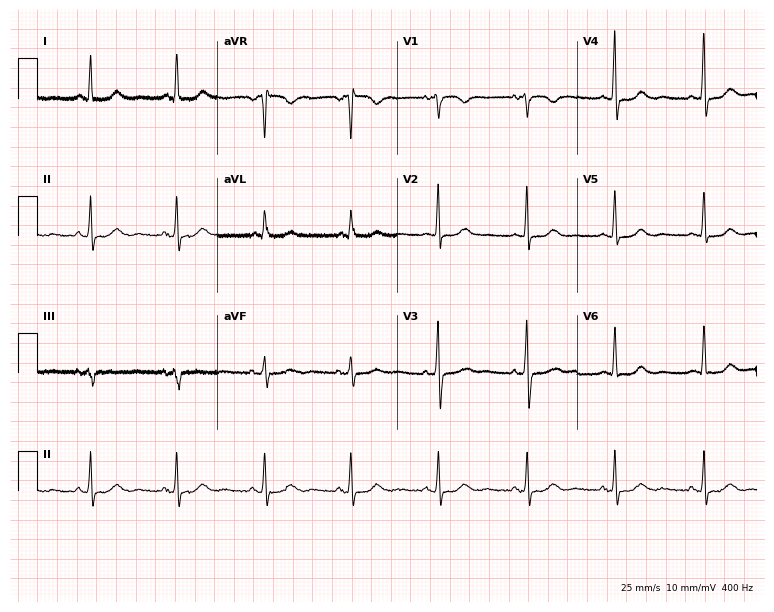
Resting 12-lead electrocardiogram. Patient: a 59-year-old woman. Read as a normal ECG.